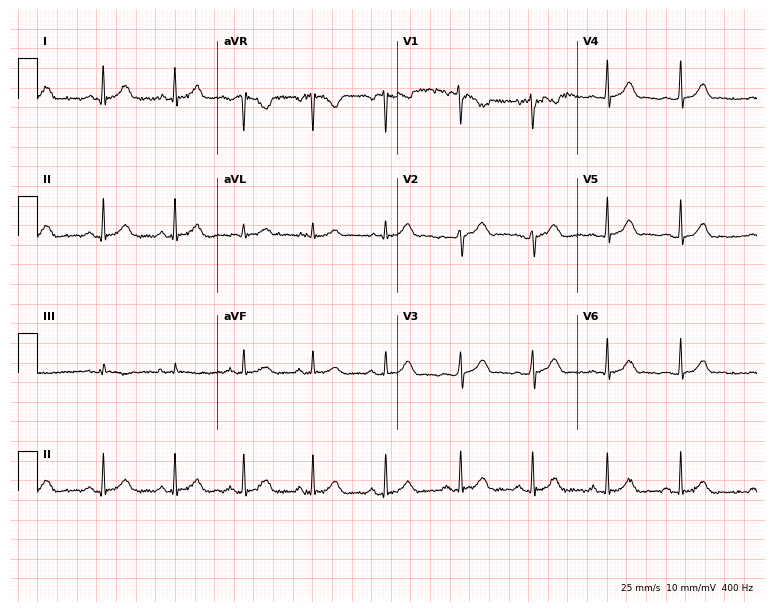
ECG (7.3-second recording at 400 Hz) — a female patient, 36 years old. Labelled as a normal ECG.